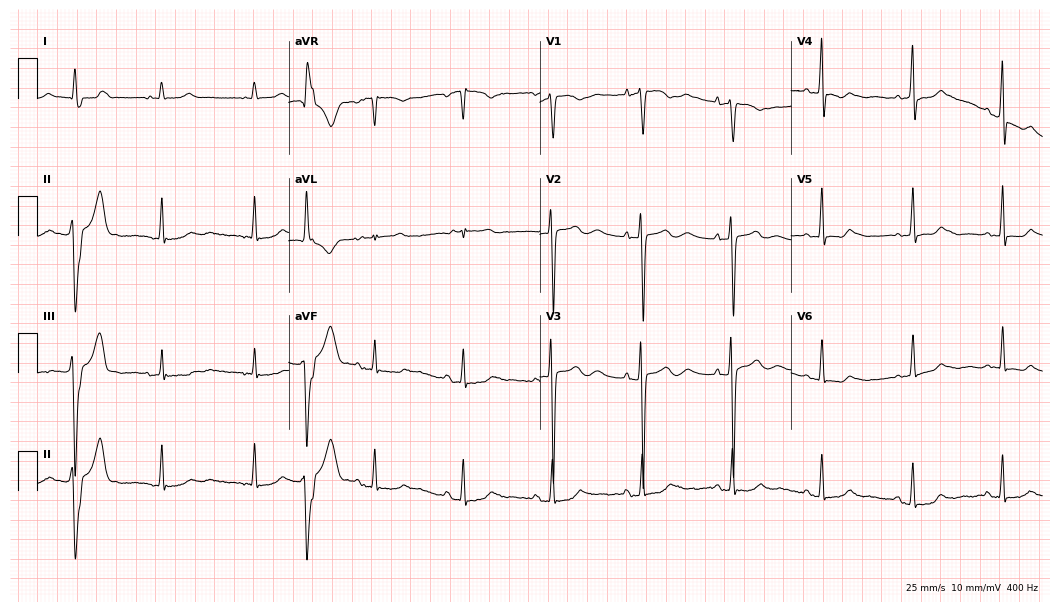
12-lead ECG from a 56-year-old female patient (10.2-second recording at 400 Hz). No first-degree AV block, right bundle branch block, left bundle branch block, sinus bradycardia, atrial fibrillation or sinus tachycardia recorded for this tracing. Other findings, if any, are not listed.